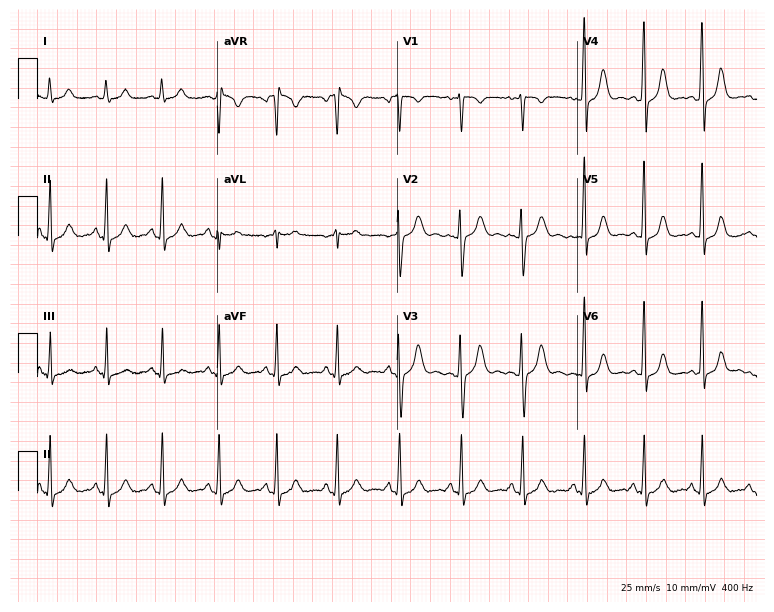
Resting 12-lead electrocardiogram. Patient: a 28-year-old female. Read as a normal ECG.